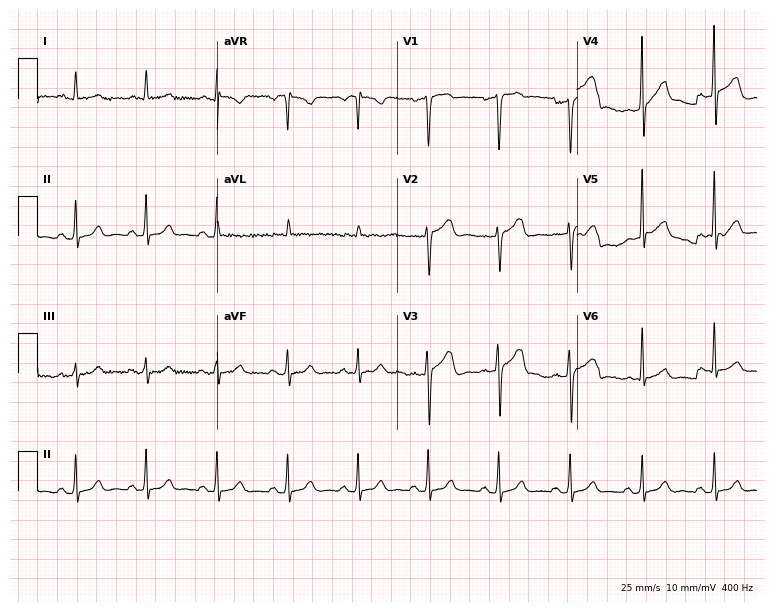
ECG — a 46-year-old male. Screened for six findings — first-degree AV block, right bundle branch block (RBBB), left bundle branch block (LBBB), sinus bradycardia, atrial fibrillation (AF), sinus tachycardia — none is recorded. Findings outside these six are not listed.